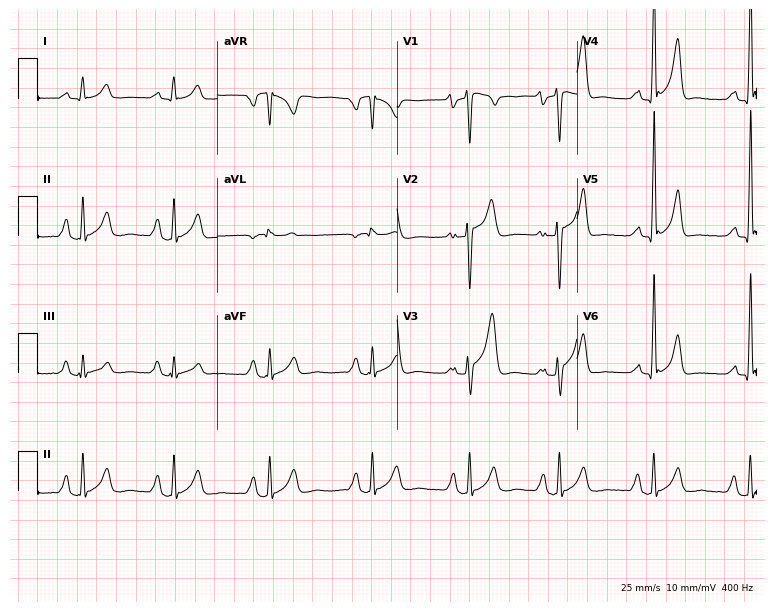
Electrocardiogram, a 20-year-old male. Of the six screened findings (first-degree AV block, right bundle branch block (RBBB), left bundle branch block (LBBB), sinus bradycardia, atrial fibrillation (AF), sinus tachycardia), none is recorded.